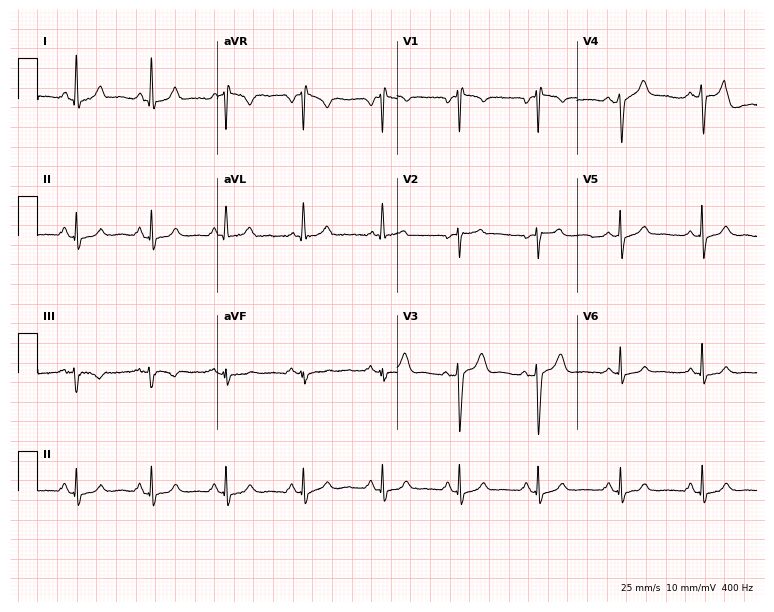
12-lead ECG from a 69-year-old female patient (7.3-second recording at 400 Hz). Recorded interpretation: within normal limits.